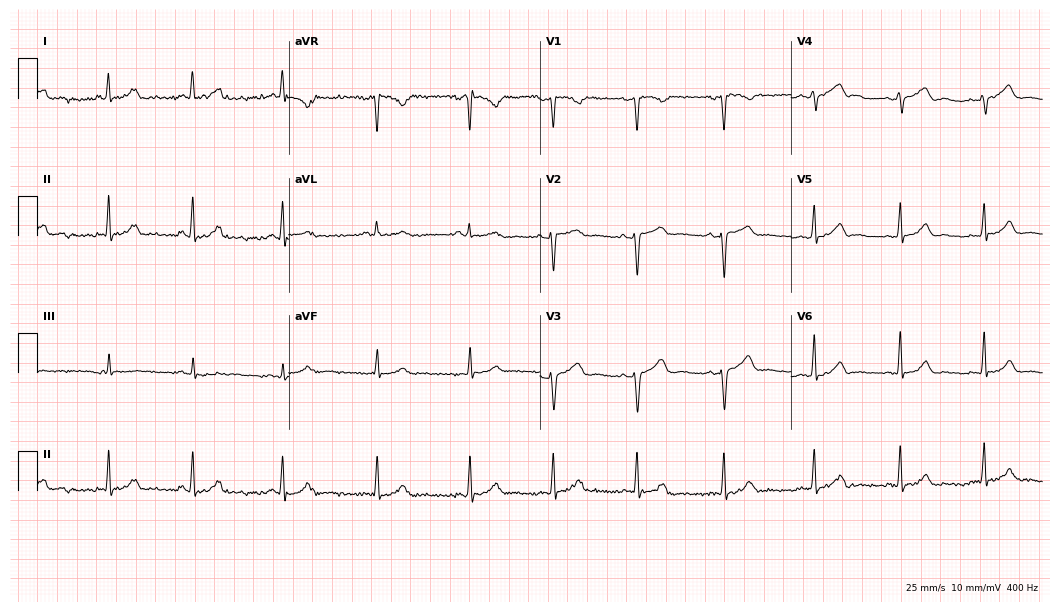
Resting 12-lead electrocardiogram. Patient: a woman, 27 years old. Read as a normal ECG.